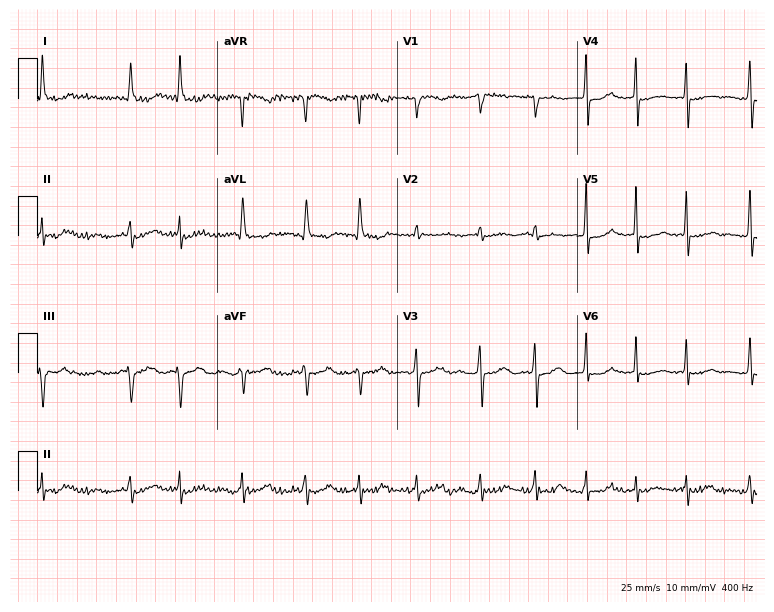
Standard 12-lead ECG recorded from a 76-year-old woman. None of these six findings is recorded: first-degree AV block, right bundle branch block, left bundle branch block, sinus bradycardia, atrial fibrillation, sinus tachycardia. Other findings, if any, are not listed.